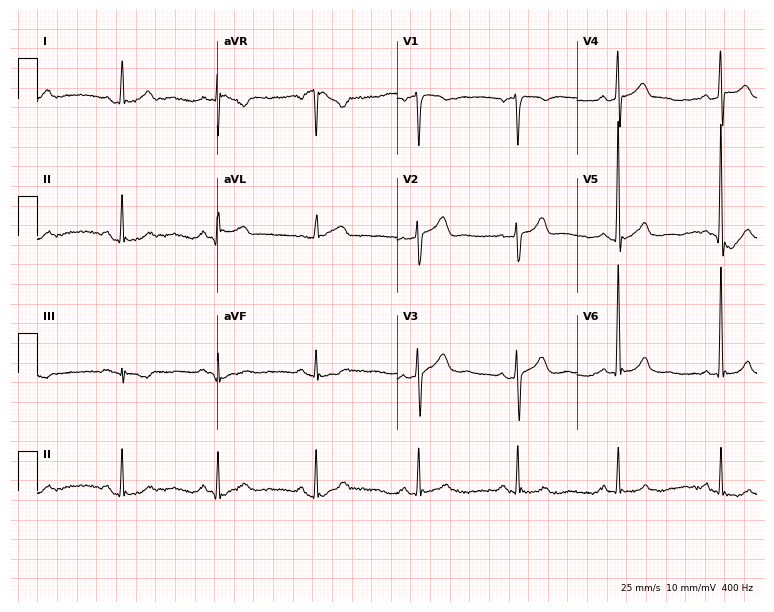
12-lead ECG from a male patient, 61 years old (7.3-second recording at 400 Hz). No first-degree AV block, right bundle branch block (RBBB), left bundle branch block (LBBB), sinus bradycardia, atrial fibrillation (AF) or sinus tachycardia recorded for this tracing.